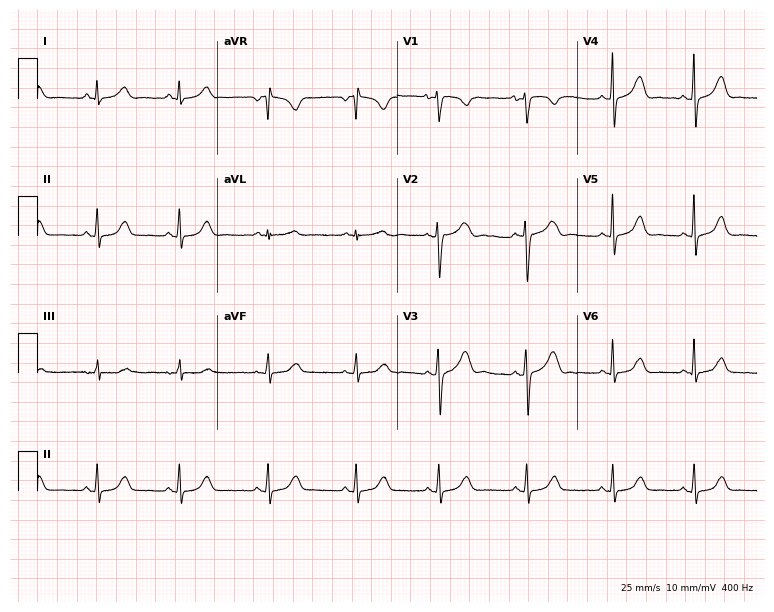
12-lead ECG from an 18-year-old woman. Labelled as a normal ECG.